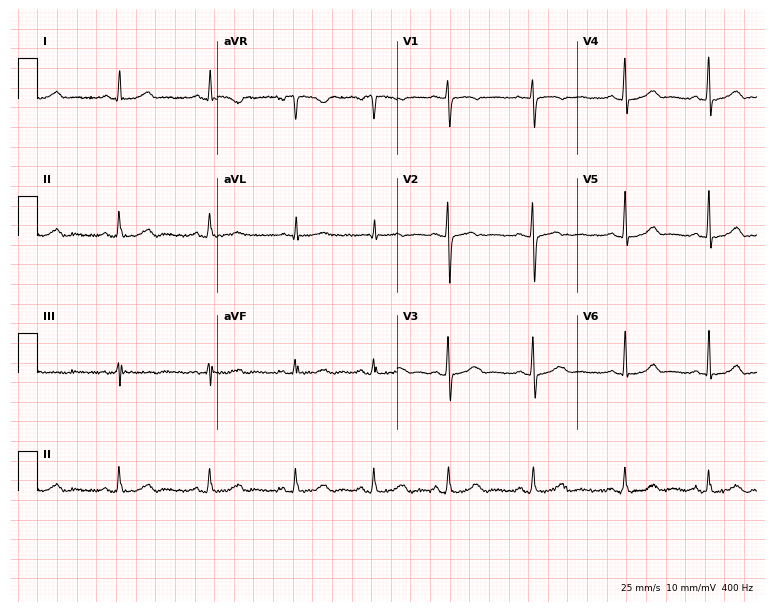
Electrocardiogram, a 43-year-old woman. Overall reading on record: normal ECG.